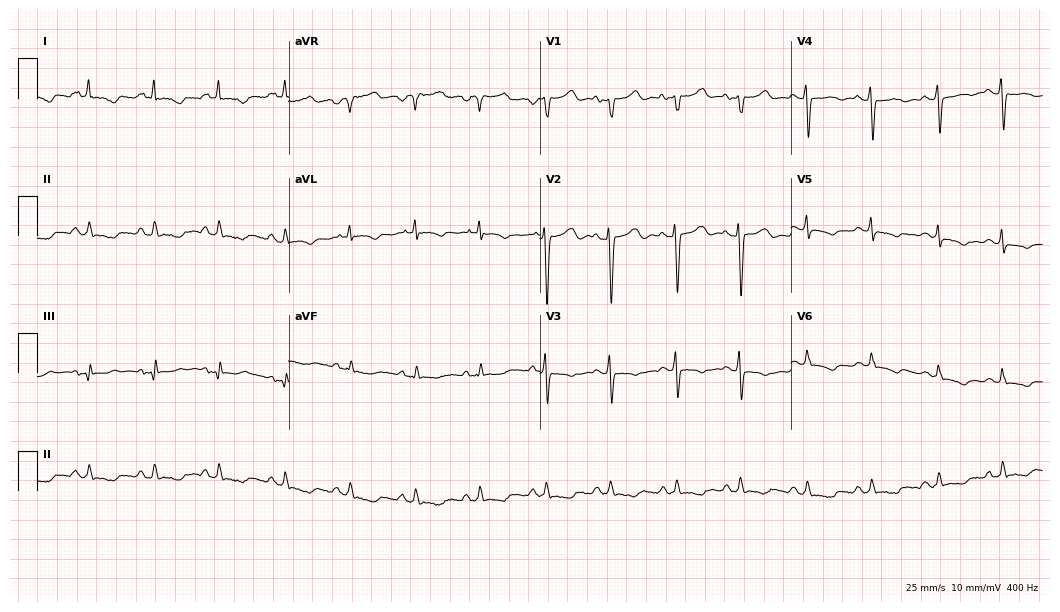
ECG — a male patient, 61 years old. Screened for six findings — first-degree AV block, right bundle branch block, left bundle branch block, sinus bradycardia, atrial fibrillation, sinus tachycardia — none is recorded.